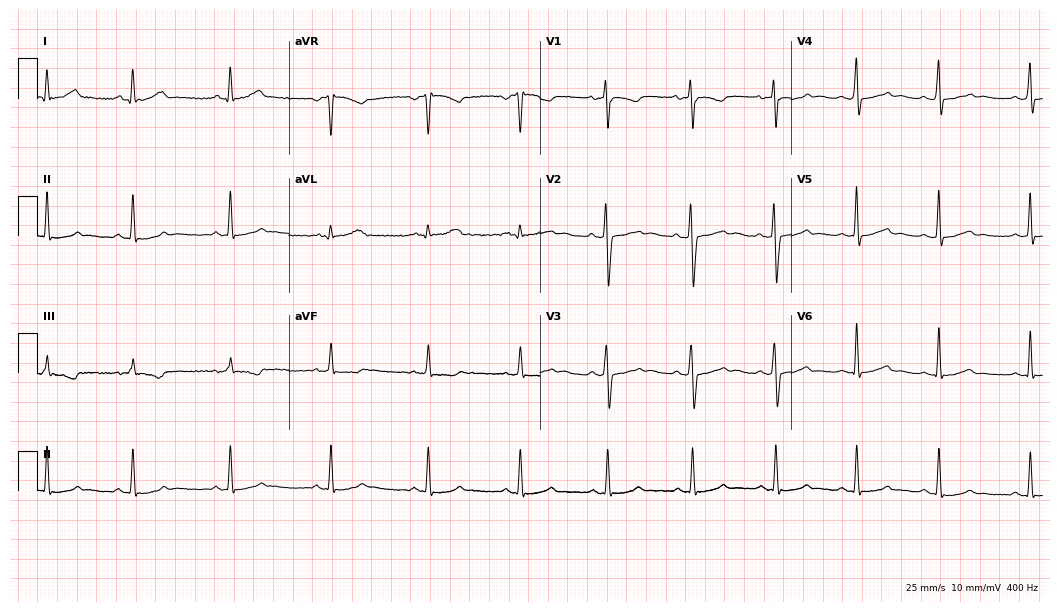
Electrocardiogram (10.2-second recording at 400 Hz), a 37-year-old female. Overall reading on record: normal ECG.